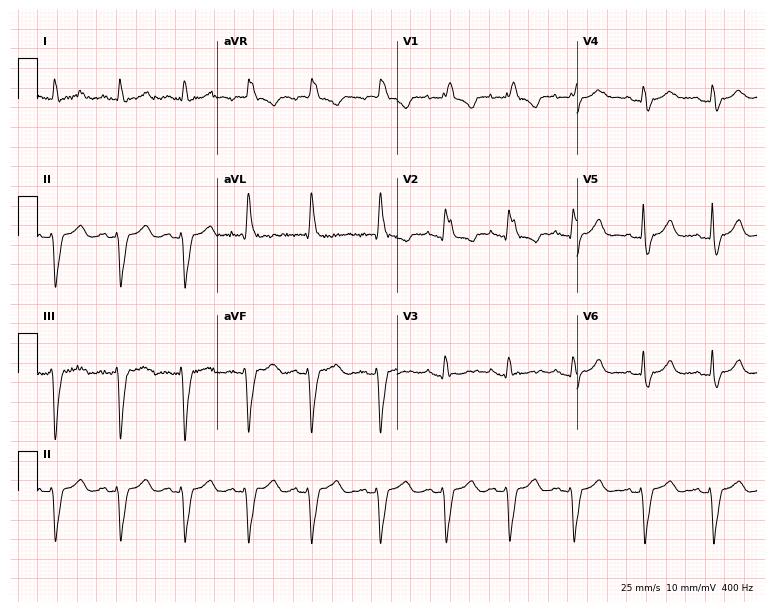
12-lead ECG from a 35-year-old female (7.3-second recording at 400 Hz). Shows right bundle branch block.